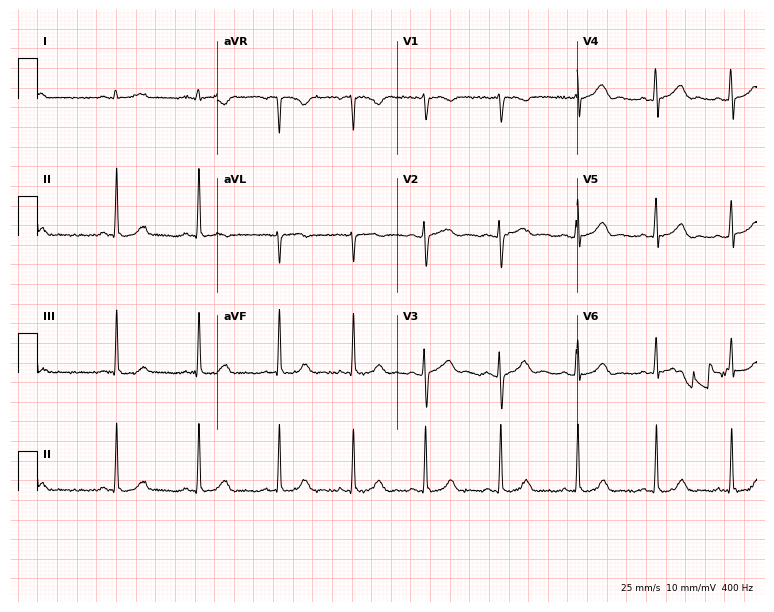
Resting 12-lead electrocardiogram (7.3-second recording at 400 Hz). Patient: a 22-year-old woman. Read as a normal ECG.